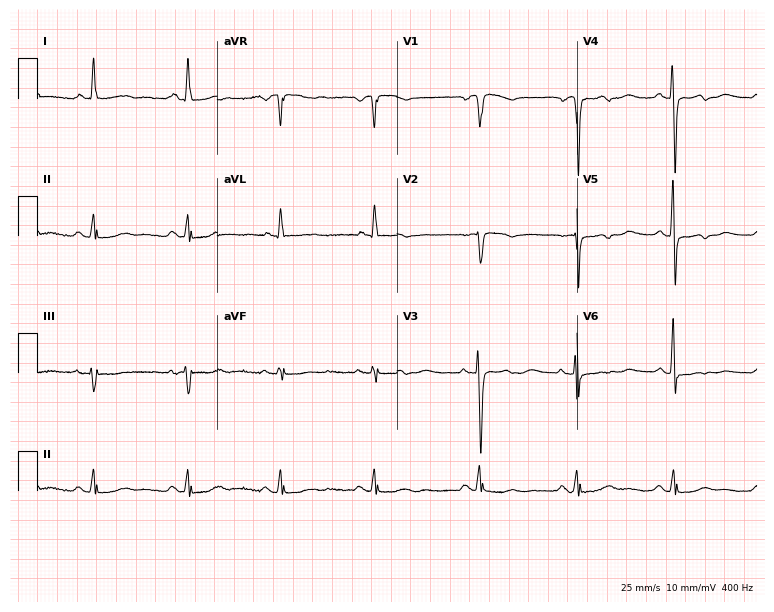
ECG (7.3-second recording at 400 Hz) — a 77-year-old female. Screened for six findings — first-degree AV block, right bundle branch block, left bundle branch block, sinus bradycardia, atrial fibrillation, sinus tachycardia — none is recorded. Findings outside these six are not listed.